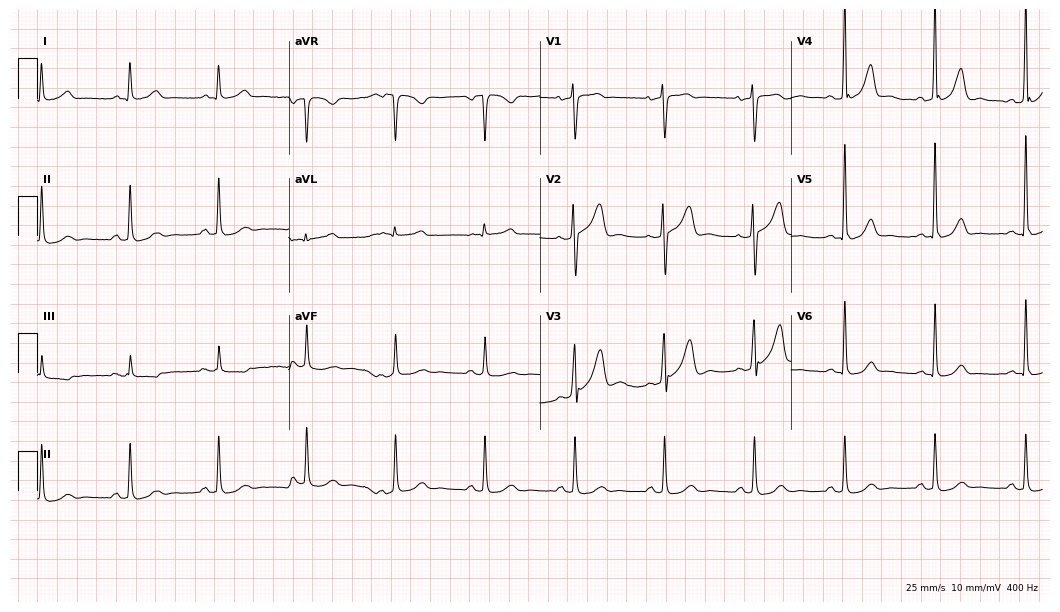
12-lead ECG from a male, 78 years old. No first-degree AV block, right bundle branch block, left bundle branch block, sinus bradycardia, atrial fibrillation or sinus tachycardia recorded for this tracing. Only these six findings were labelled.